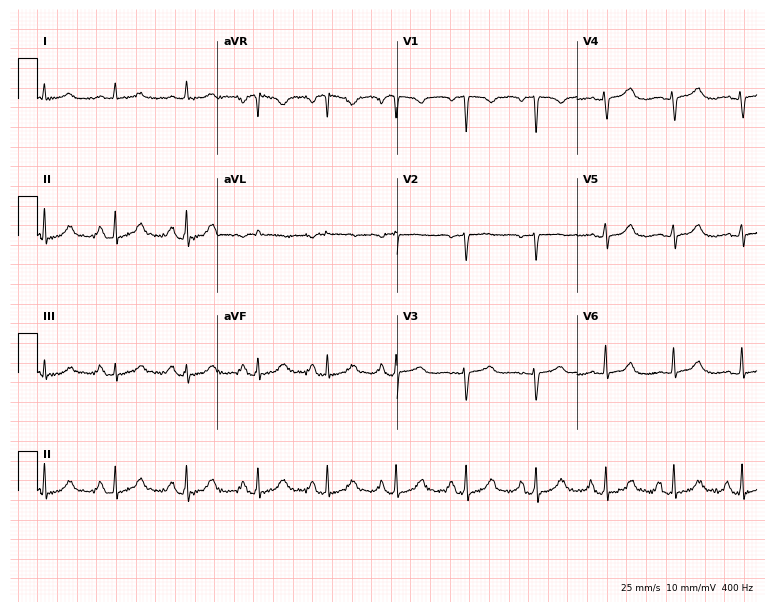
Resting 12-lead electrocardiogram (7.3-second recording at 400 Hz). Patient: a woman, 80 years old. None of these six findings is recorded: first-degree AV block, right bundle branch block, left bundle branch block, sinus bradycardia, atrial fibrillation, sinus tachycardia. Only these six findings were labelled.